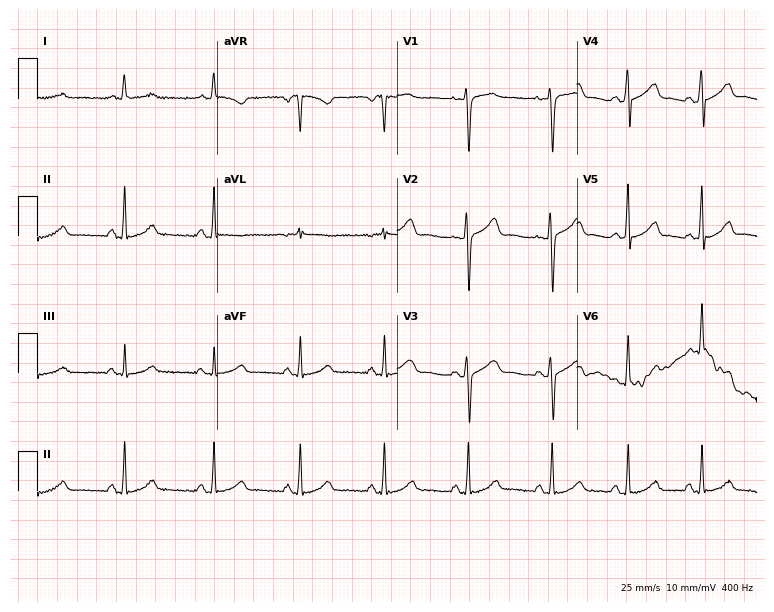
Resting 12-lead electrocardiogram (7.3-second recording at 400 Hz). Patient: a woman, 26 years old. None of these six findings is recorded: first-degree AV block, right bundle branch block, left bundle branch block, sinus bradycardia, atrial fibrillation, sinus tachycardia.